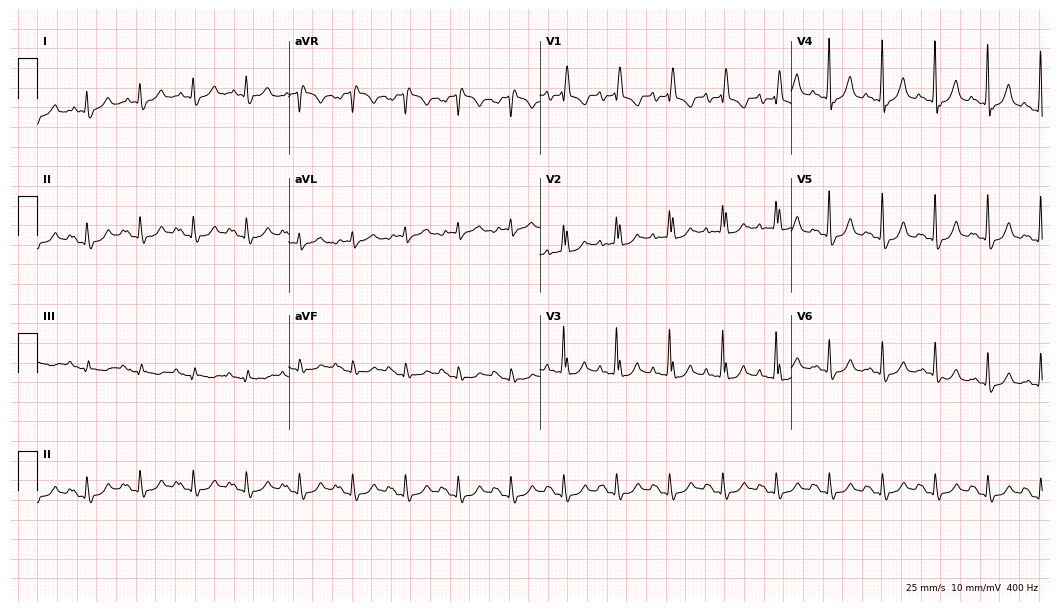
ECG — an 82-year-old female patient. Findings include sinus tachycardia (a sinus rate of 100 beats per minute or more).